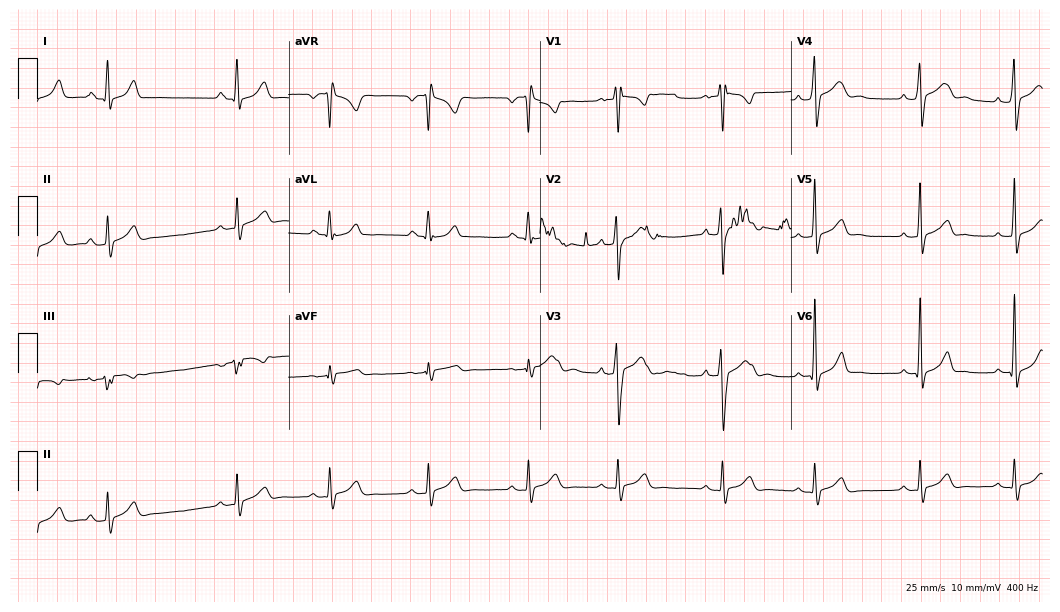
Electrocardiogram (10.2-second recording at 400 Hz), a 21-year-old man. Of the six screened findings (first-degree AV block, right bundle branch block, left bundle branch block, sinus bradycardia, atrial fibrillation, sinus tachycardia), none is recorded. Findings outside these six are not listed.